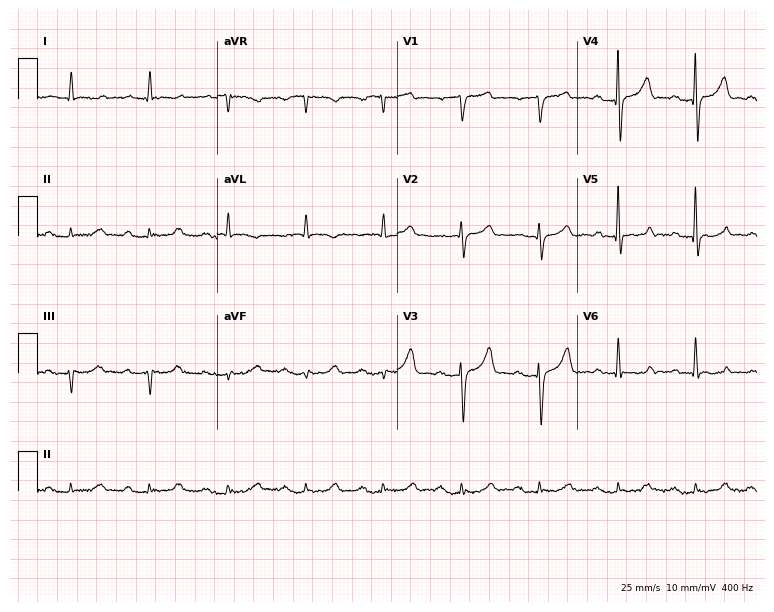
ECG — a man, 80 years old. Screened for six findings — first-degree AV block, right bundle branch block (RBBB), left bundle branch block (LBBB), sinus bradycardia, atrial fibrillation (AF), sinus tachycardia — none is recorded. Only these six findings were labelled.